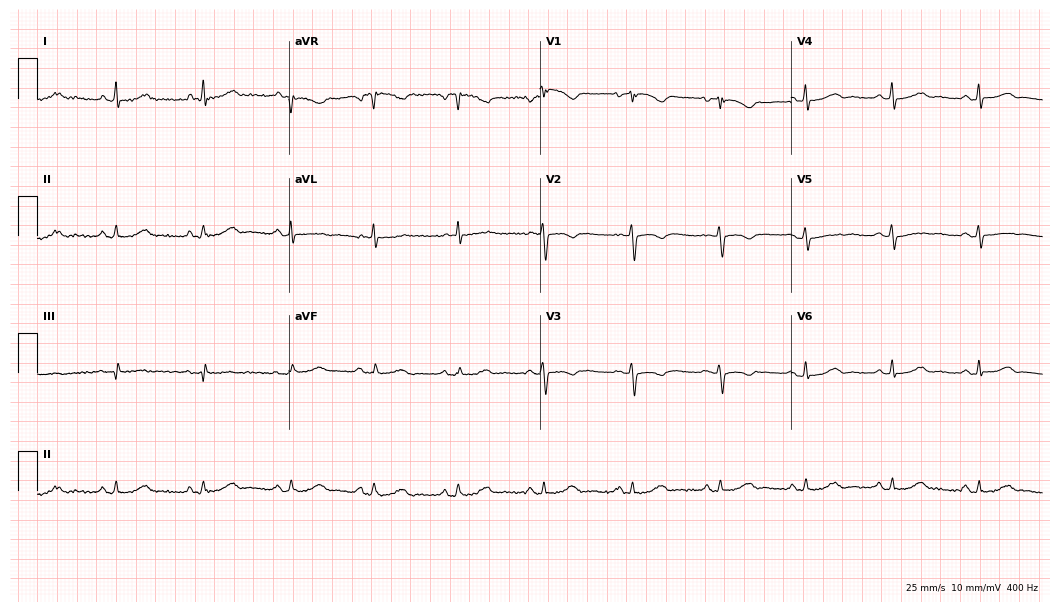
12-lead ECG from a 68-year-old woman. Screened for six findings — first-degree AV block, right bundle branch block, left bundle branch block, sinus bradycardia, atrial fibrillation, sinus tachycardia — none is recorded.